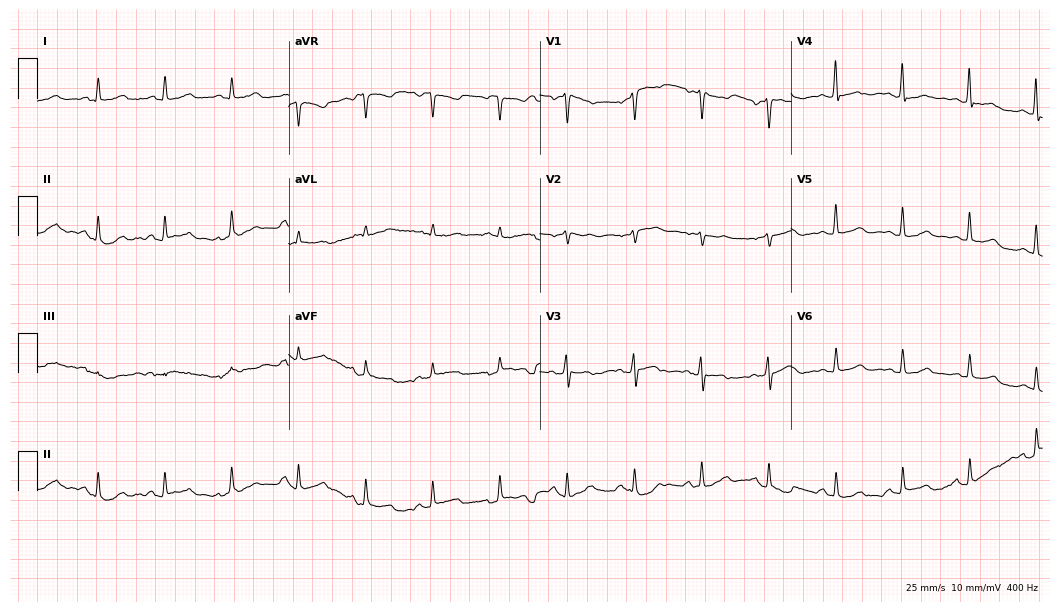
12-lead ECG from a female, 49 years old. Labelled as a normal ECG.